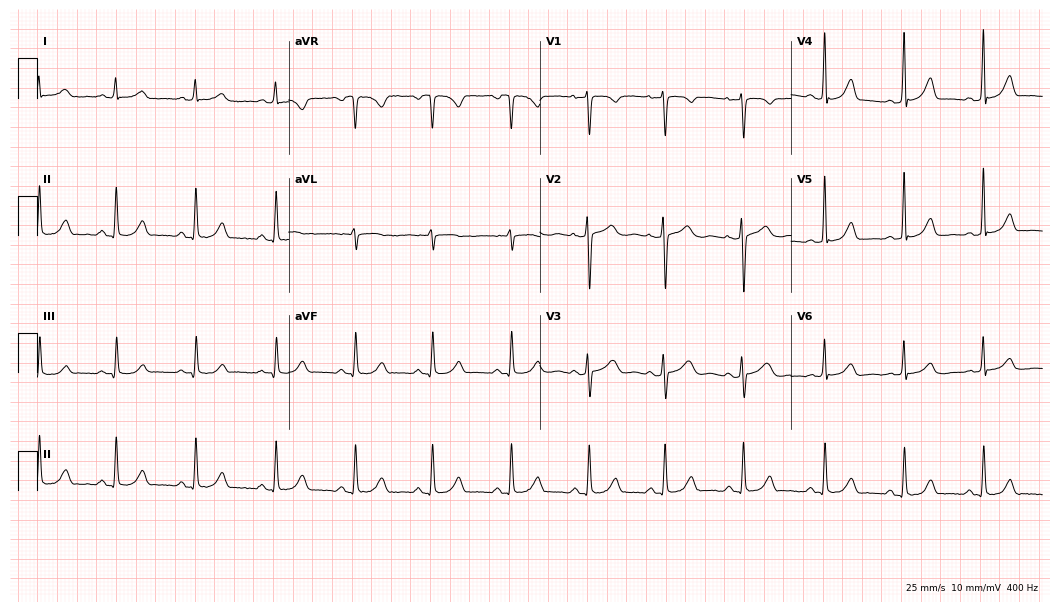
ECG (10.2-second recording at 400 Hz) — a 23-year-old female. Labelled as a normal ECG.